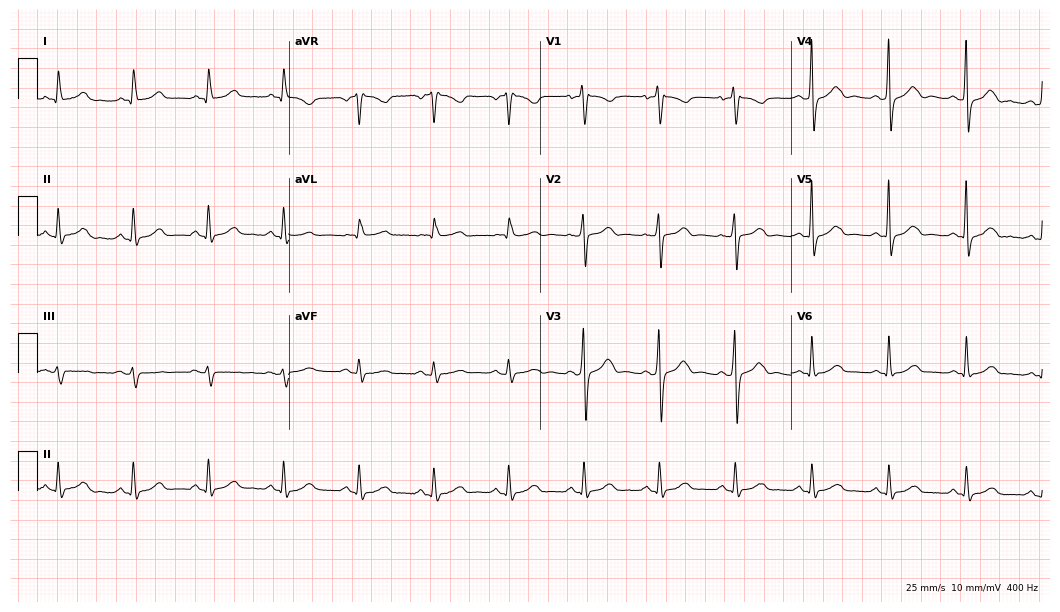
Standard 12-lead ECG recorded from a female, 68 years old (10.2-second recording at 400 Hz). Read as a normal ECG.